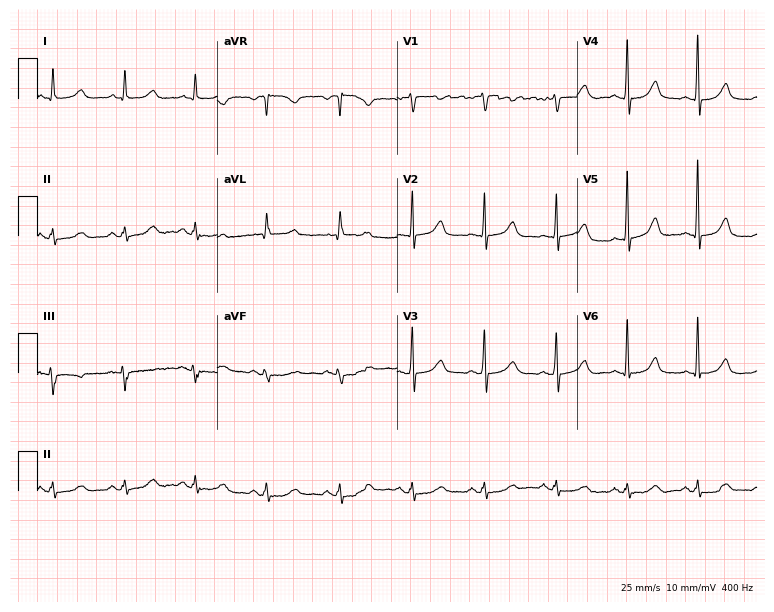
Electrocardiogram (7.3-second recording at 400 Hz), a 63-year-old female. Overall reading on record: normal ECG.